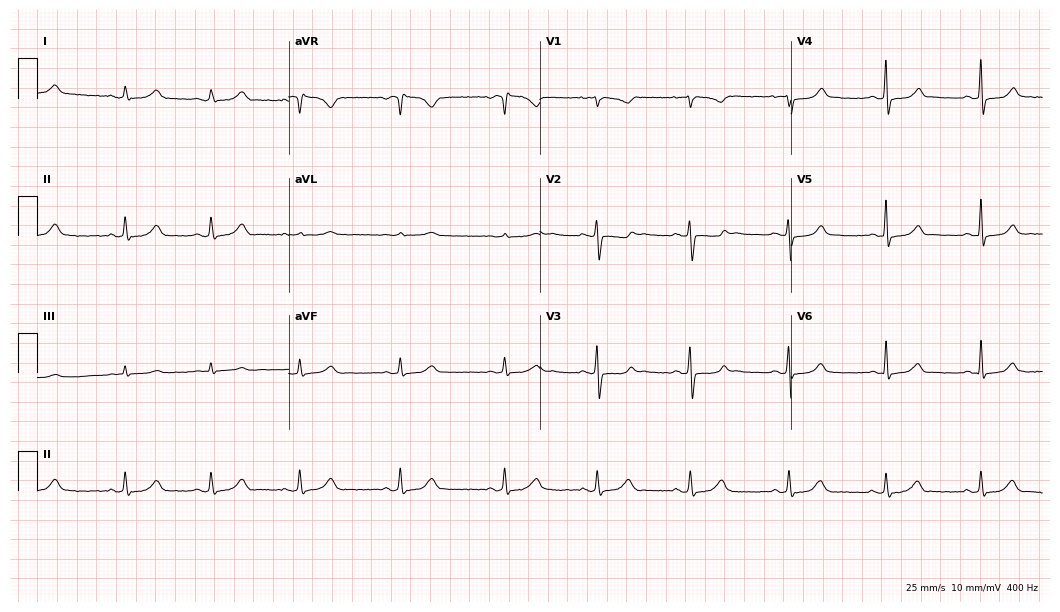
Resting 12-lead electrocardiogram. Patient: a 29-year-old female. Read as a normal ECG.